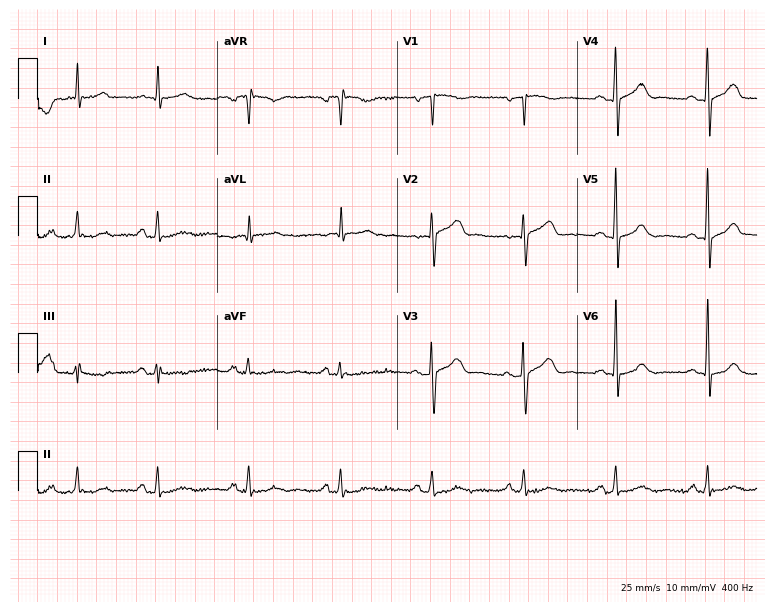
12-lead ECG (7.3-second recording at 400 Hz) from an 83-year-old male. Screened for six findings — first-degree AV block, right bundle branch block, left bundle branch block, sinus bradycardia, atrial fibrillation, sinus tachycardia — none is recorded. Only these six findings were labelled.